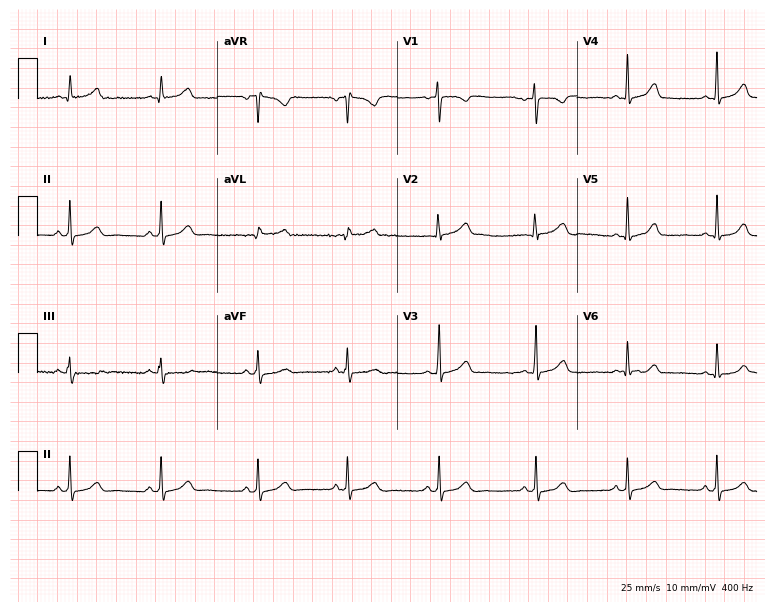
12-lead ECG (7.3-second recording at 400 Hz) from a 27-year-old female patient. Labelled as a normal ECG.